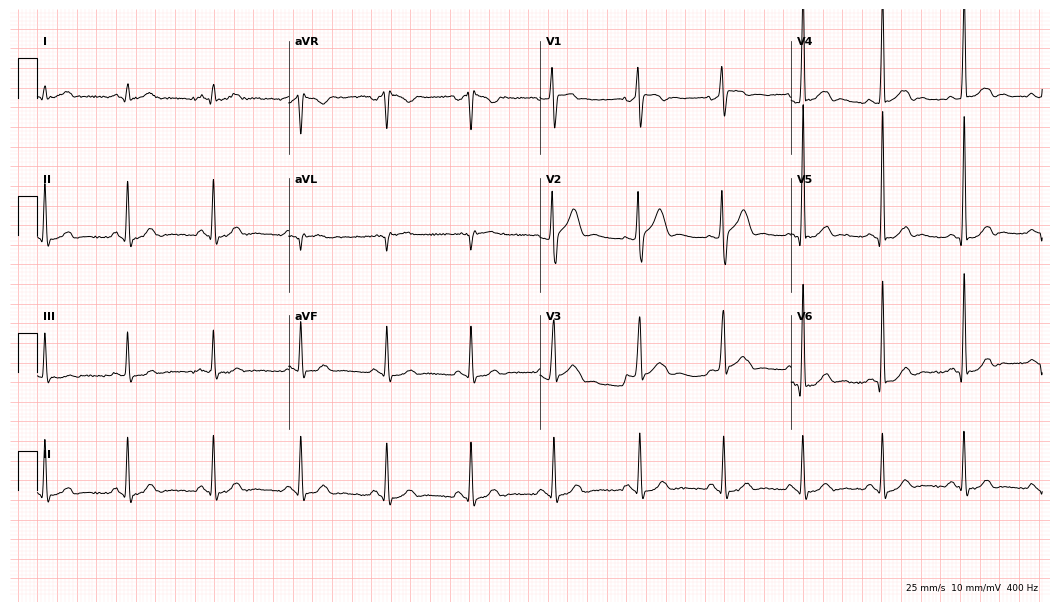
Resting 12-lead electrocardiogram. Patient: a male, 34 years old. Read as a normal ECG.